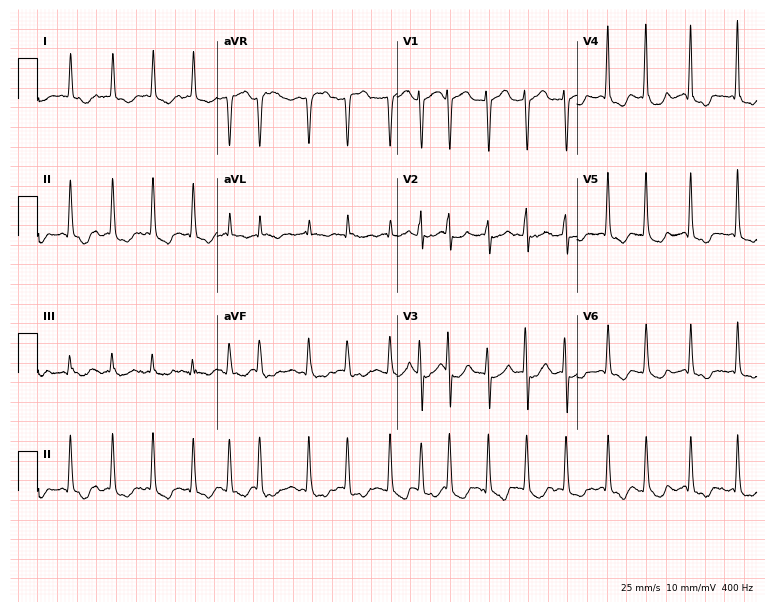
Electrocardiogram, a 73-year-old female patient. Interpretation includes atrial fibrillation.